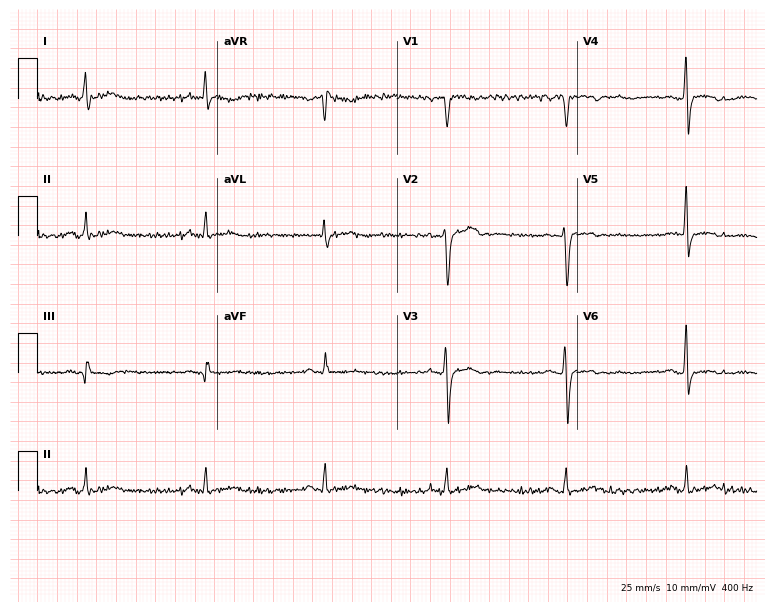
Standard 12-lead ECG recorded from a male, 46 years old. None of these six findings is recorded: first-degree AV block, right bundle branch block (RBBB), left bundle branch block (LBBB), sinus bradycardia, atrial fibrillation (AF), sinus tachycardia.